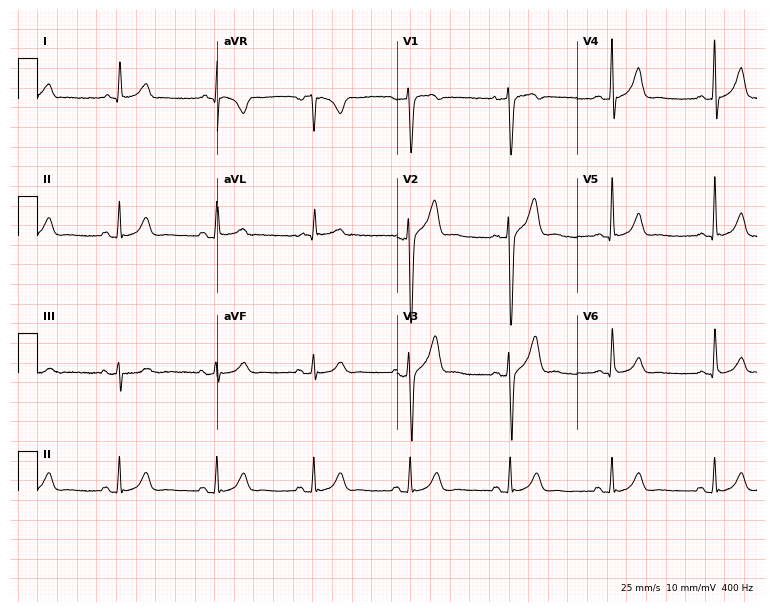
12-lead ECG from a 36-year-old man (7.3-second recording at 400 Hz). No first-degree AV block, right bundle branch block, left bundle branch block, sinus bradycardia, atrial fibrillation or sinus tachycardia recorded for this tracing. Other findings, if any, are not listed.